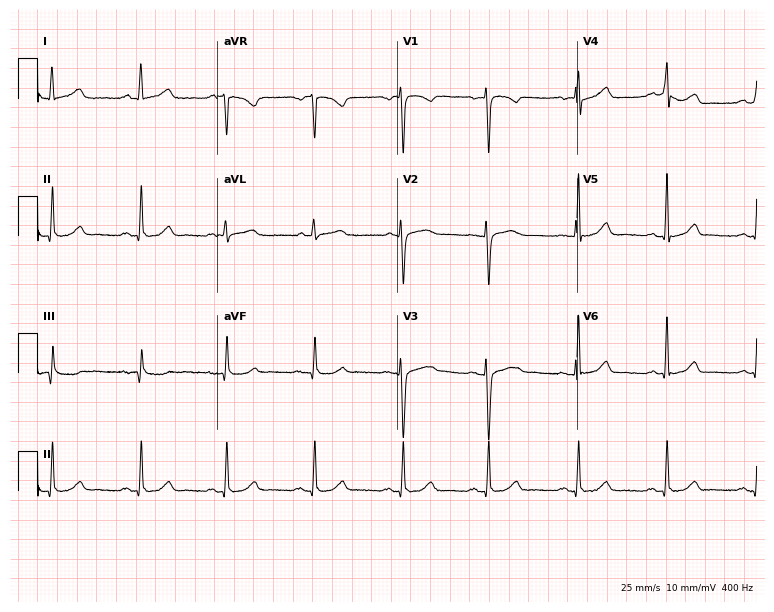
12-lead ECG (7.3-second recording at 400 Hz) from a 22-year-old female patient. Labelled as a normal ECG.